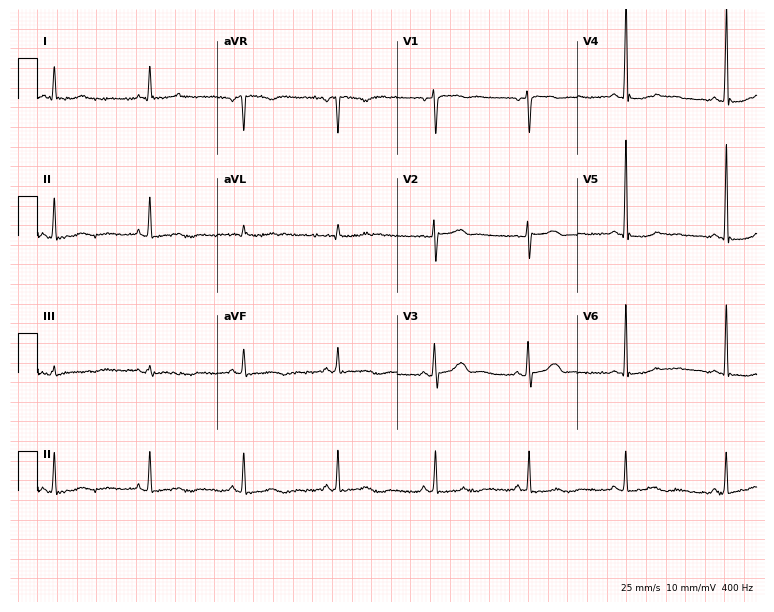
12-lead ECG (7.3-second recording at 400 Hz) from a 50-year-old female patient. Screened for six findings — first-degree AV block, right bundle branch block, left bundle branch block, sinus bradycardia, atrial fibrillation, sinus tachycardia — none is recorded.